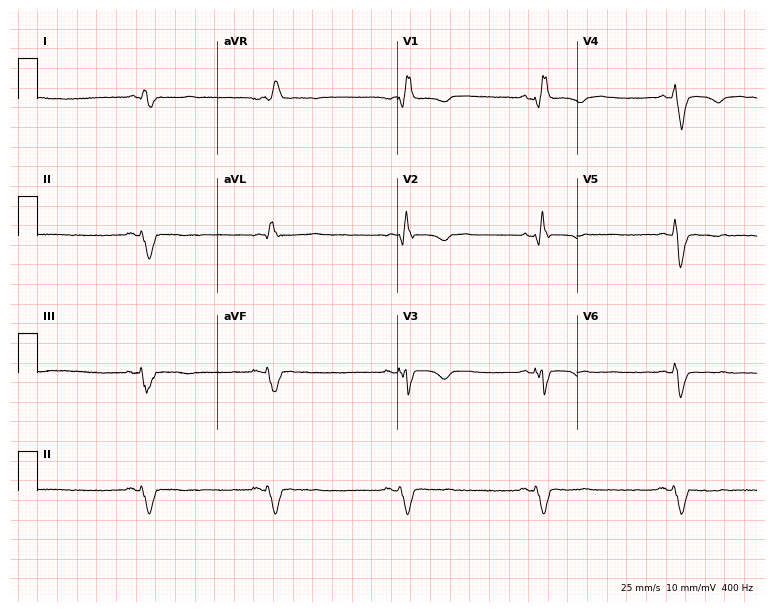
Electrocardiogram, a 38-year-old male. Interpretation includes right bundle branch block.